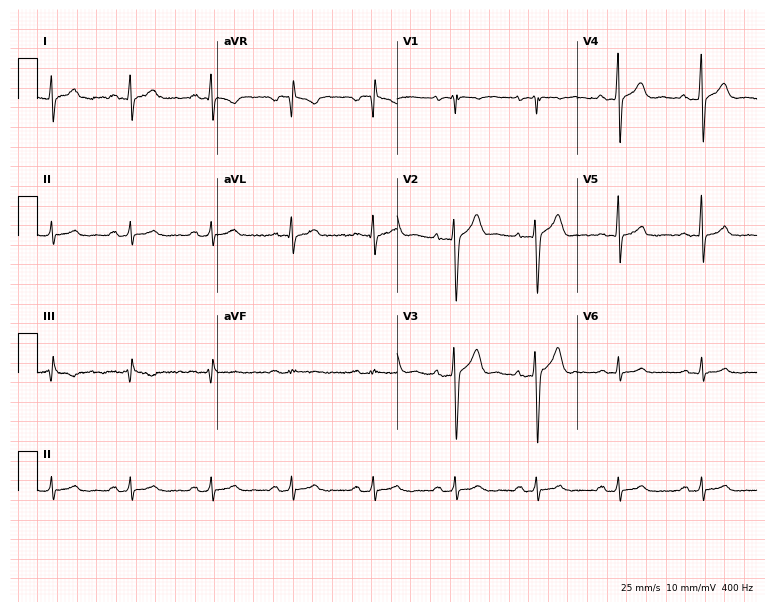
12-lead ECG from a male, 35 years old. Labelled as a normal ECG.